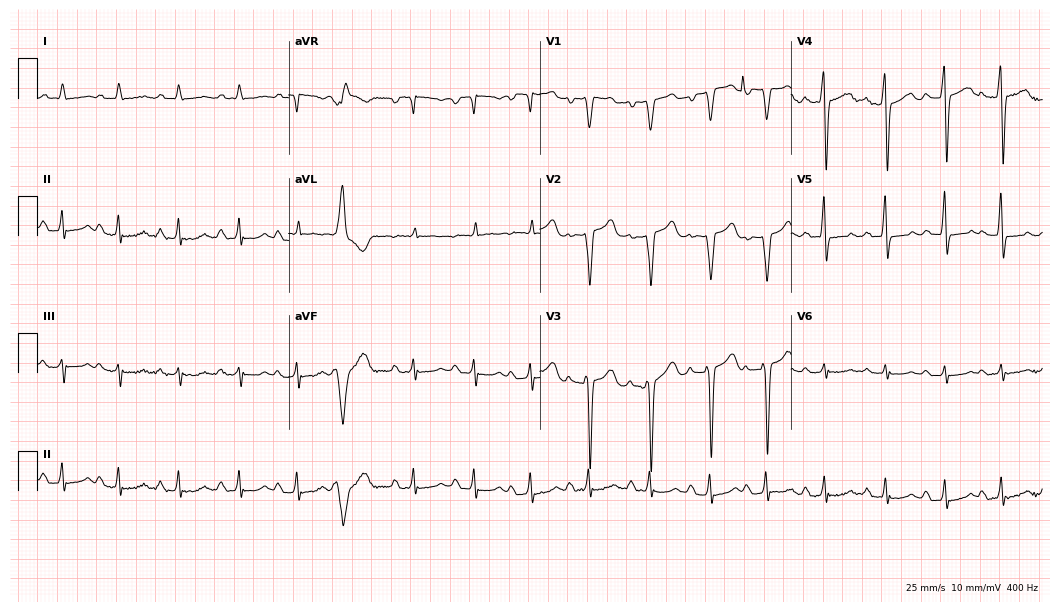
12-lead ECG from a 74-year-old man. No first-degree AV block, right bundle branch block, left bundle branch block, sinus bradycardia, atrial fibrillation or sinus tachycardia recorded for this tracing. Only these six findings were labelled.